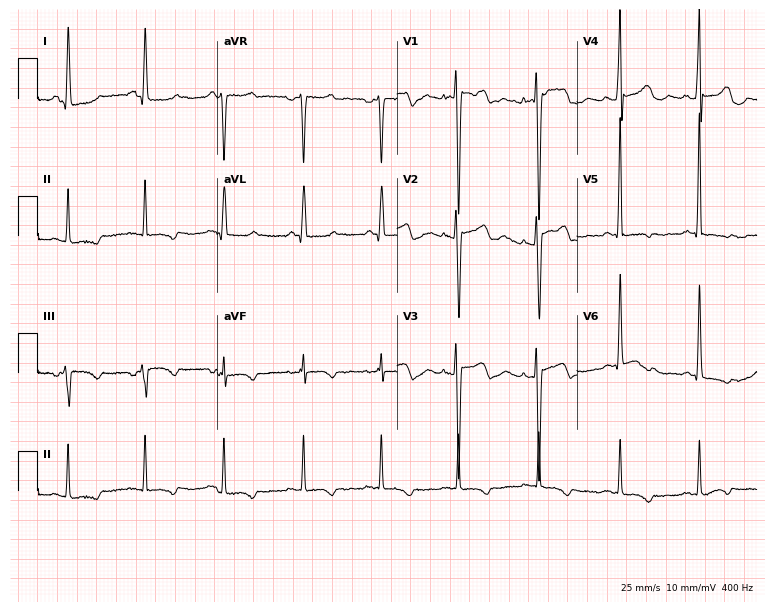
Standard 12-lead ECG recorded from a female, 35 years old (7.3-second recording at 400 Hz). None of these six findings is recorded: first-degree AV block, right bundle branch block (RBBB), left bundle branch block (LBBB), sinus bradycardia, atrial fibrillation (AF), sinus tachycardia. Only these six findings were labelled.